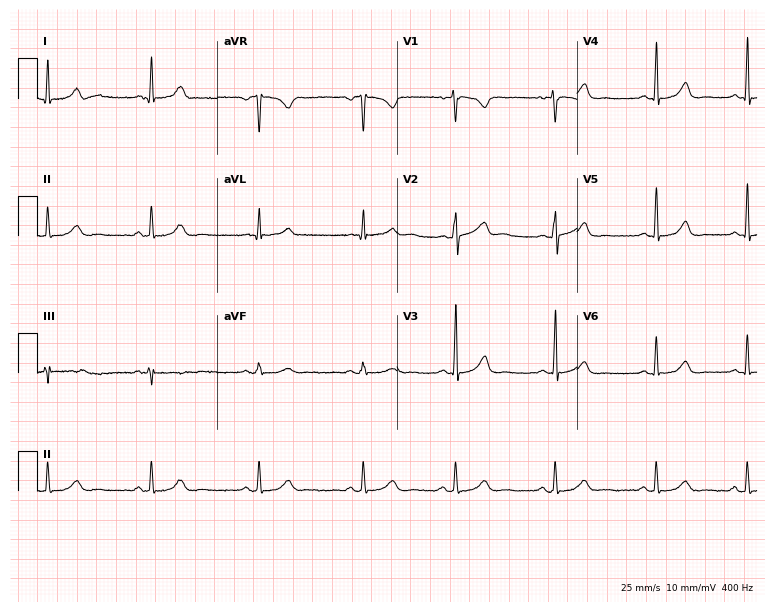
ECG — a female, 22 years old. Labelled as a normal ECG.